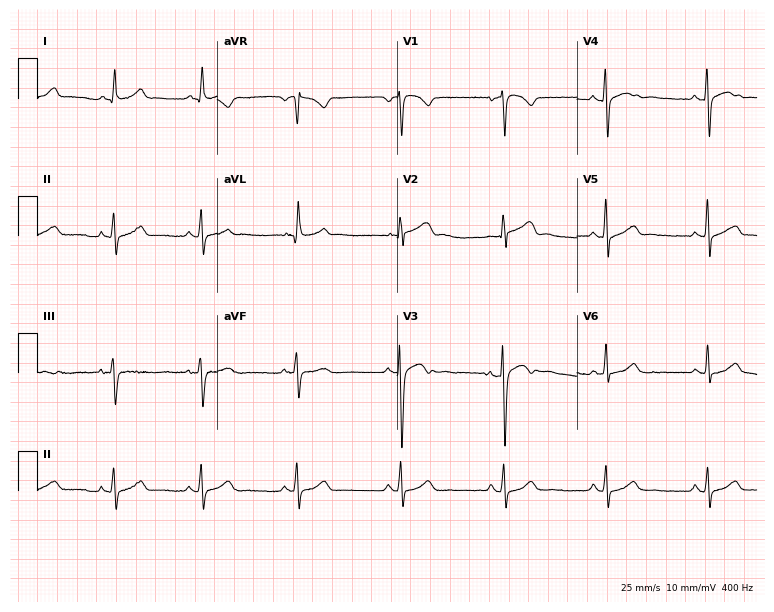
Standard 12-lead ECG recorded from a 55-year-old woman (7.3-second recording at 400 Hz). Read as a normal ECG.